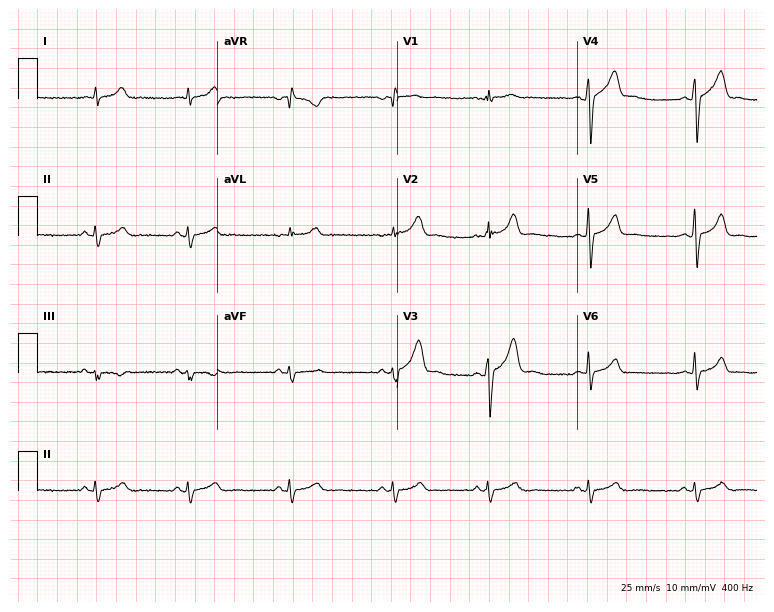
12-lead ECG from a 29-year-old male (7.3-second recording at 400 Hz). No first-degree AV block, right bundle branch block (RBBB), left bundle branch block (LBBB), sinus bradycardia, atrial fibrillation (AF) or sinus tachycardia recorded for this tracing. Other findings, if any, are not listed.